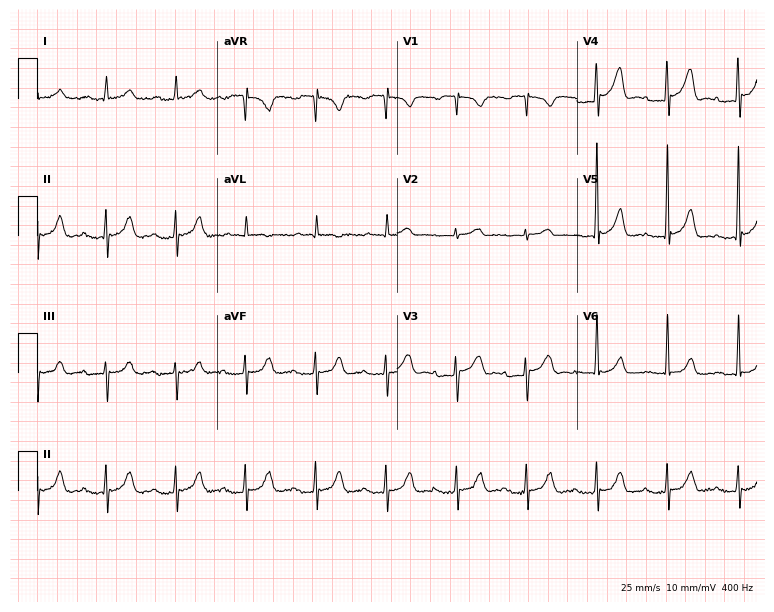
12-lead ECG from a man, 79 years old. Recorded interpretation: within normal limits.